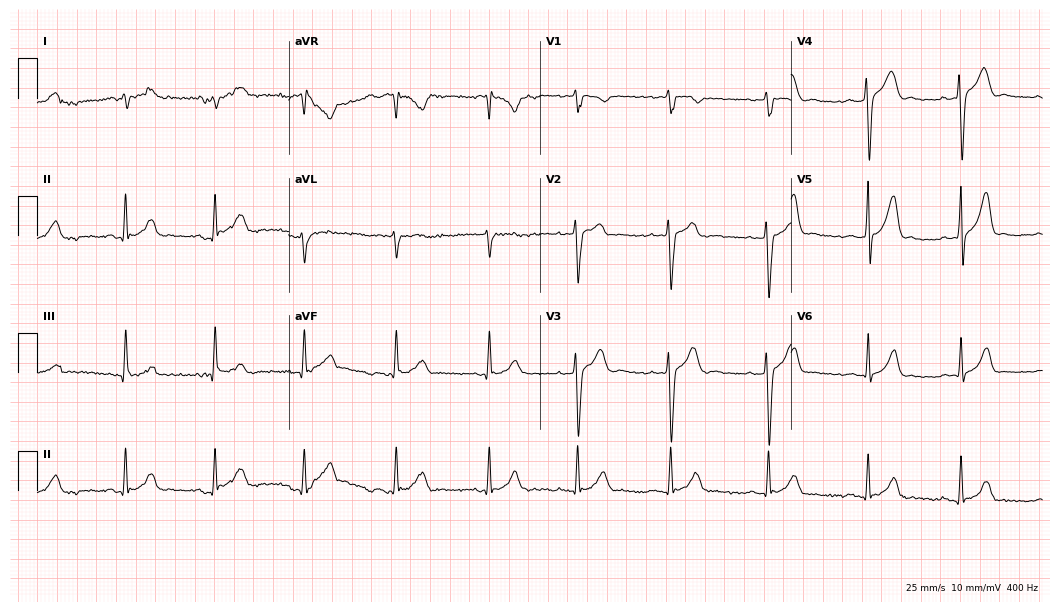
Resting 12-lead electrocardiogram. Patient: a man, 27 years old. Read as a normal ECG.